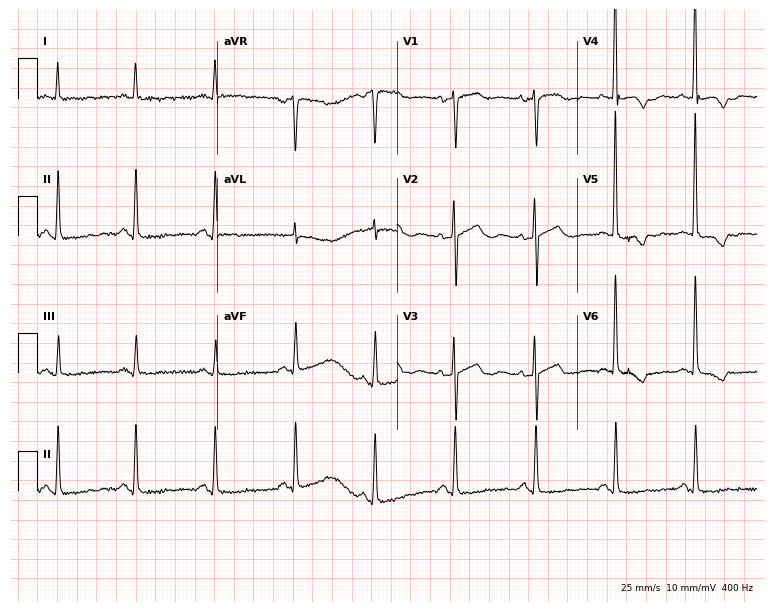
12-lead ECG (7.3-second recording at 400 Hz) from a female, 78 years old. Screened for six findings — first-degree AV block, right bundle branch block, left bundle branch block, sinus bradycardia, atrial fibrillation, sinus tachycardia — none is recorded.